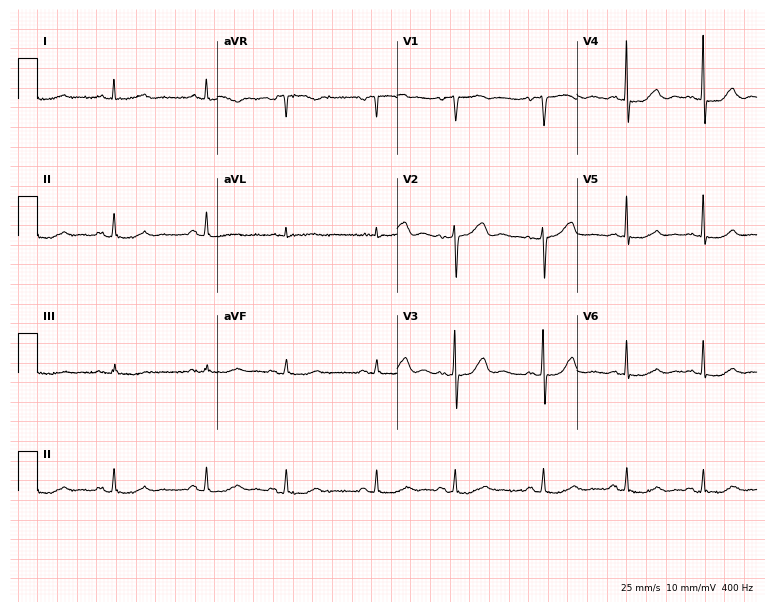
Resting 12-lead electrocardiogram. Patient: a female, 78 years old. Read as a normal ECG.